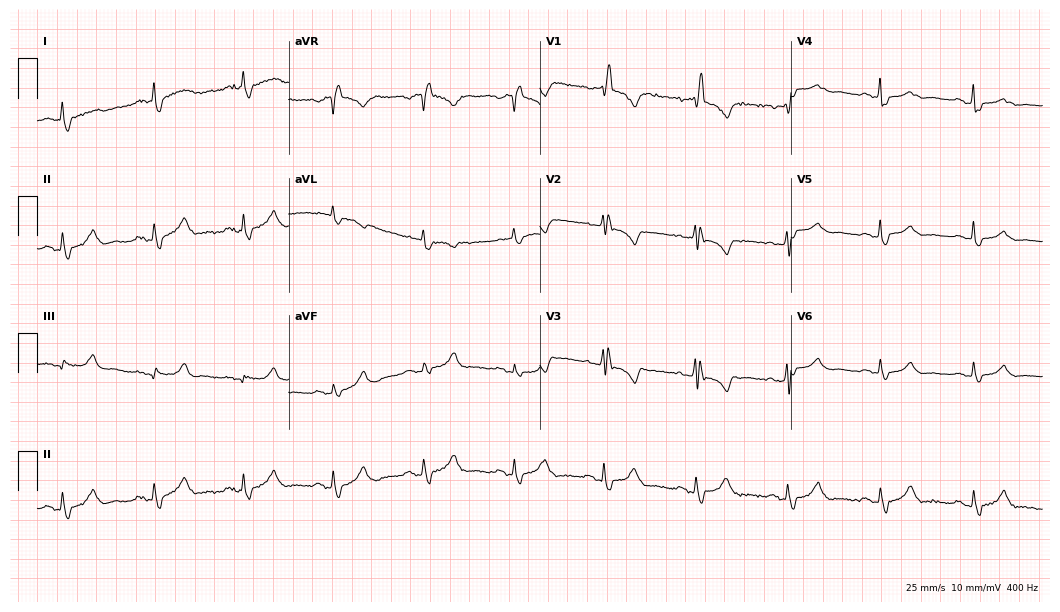
Resting 12-lead electrocardiogram. Patient: a 74-year-old female. The tracing shows right bundle branch block (RBBB).